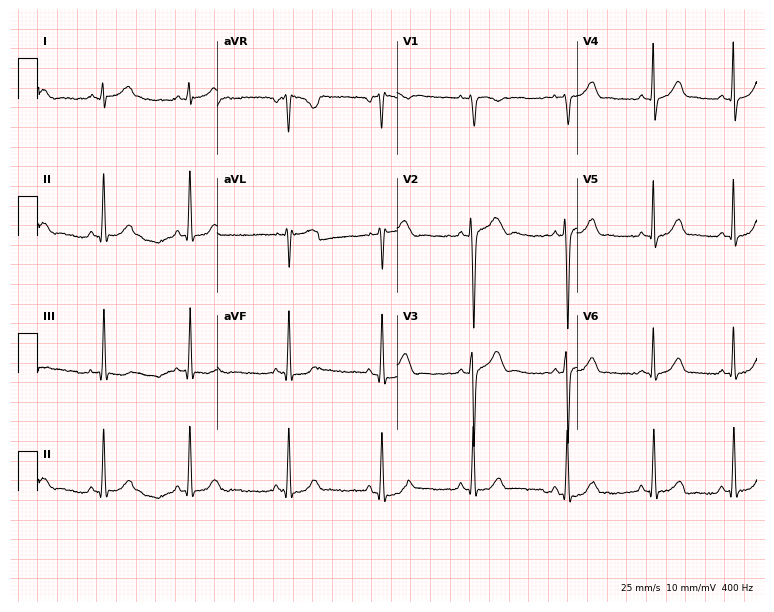
12-lead ECG from a female patient, 23 years old. Labelled as a normal ECG.